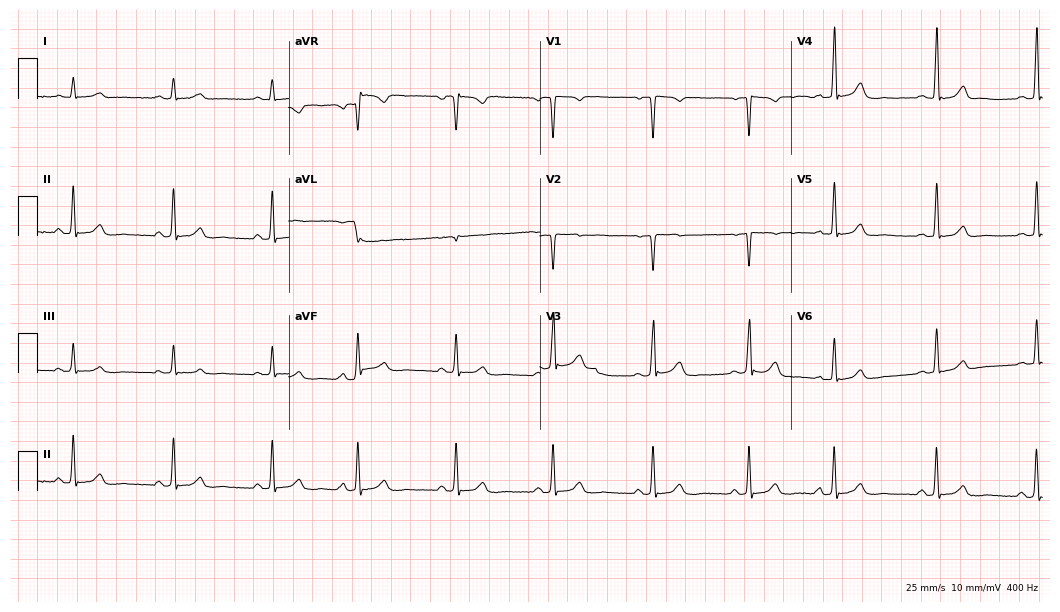
Standard 12-lead ECG recorded from a 44-year-old female patient (10.2-second recording at 400 Hz). Read as a normal ECG.